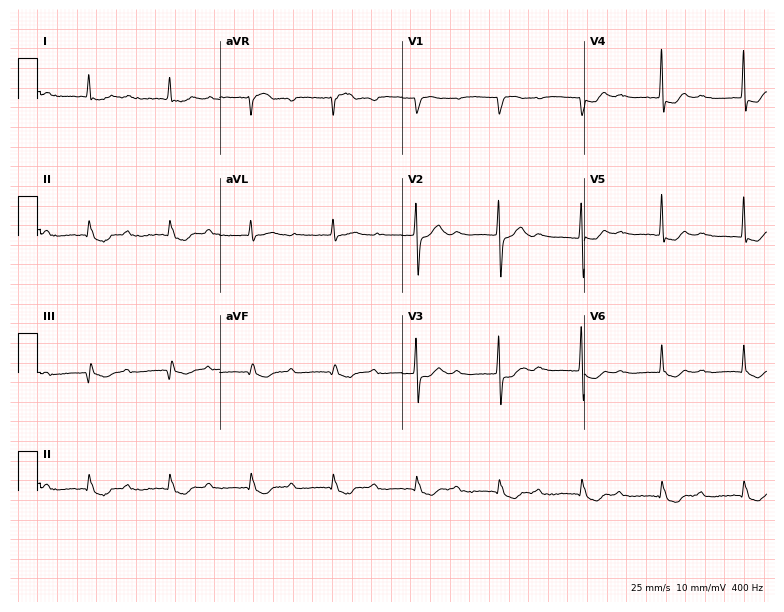
12-lead ECG from an 85-year-old woman. Screened for six findings — first-degree AV block, right bundle branch block (RBBB), left bundle branch block (LBBB), sinus bradycardia, atrial fibrillation (AF), sinus tachycardia — none is recorded. Findings outside these six are not listed.